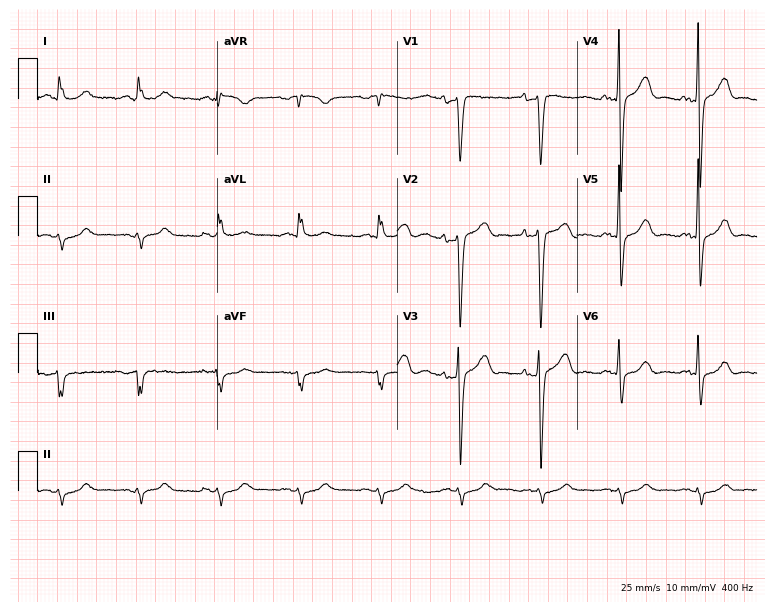
Standard 12-lead ECG recorded from a 70-year-old male (7.3-second recording at 400 Hz). None of these six findings is recorded: first-degree AV block, right bundle branch block, left bundle branch block, sinus bradycardia, atrial fibrillation, sinus tachycardia.